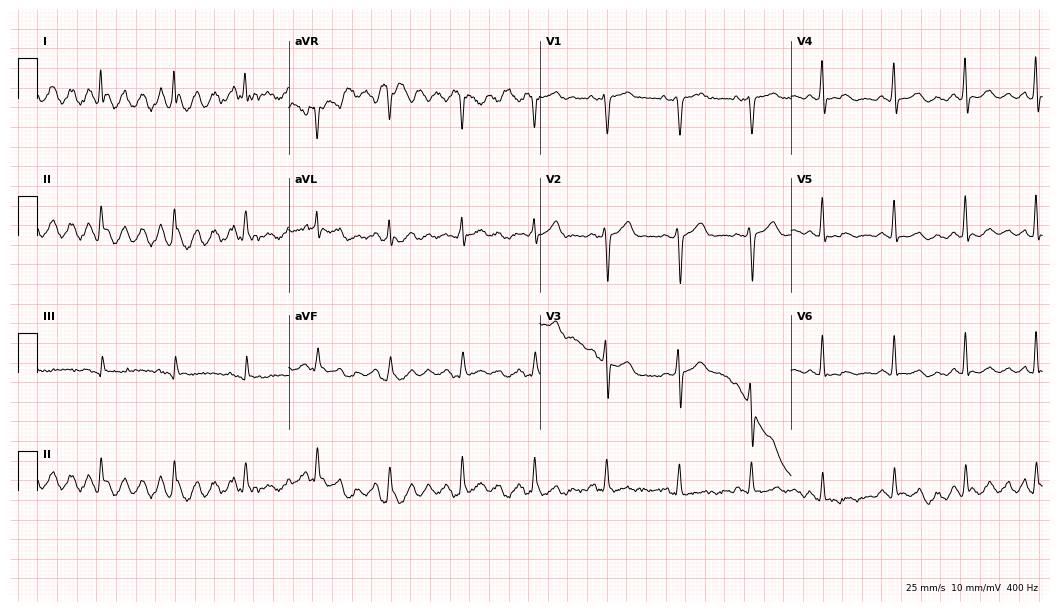
ECG (10.2-second recording at 400 Hz) — a man, 66 years old. Labelled as a normal ECG.